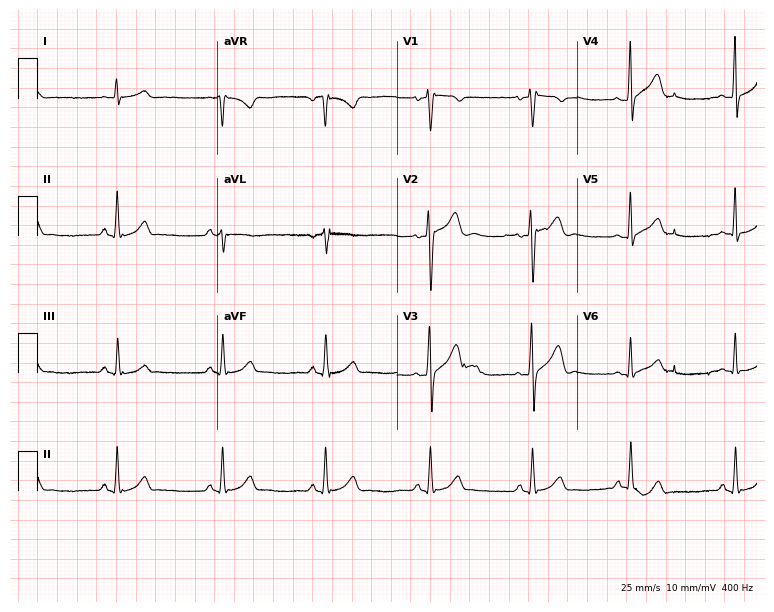
12-lead ECG from a 37-year-old male patient. No first-degree AV block, right bundle branch block, left bundle branch block, sinus bradycardia, atrial fibrillation or sinus tachycardia recorded for this tracing.